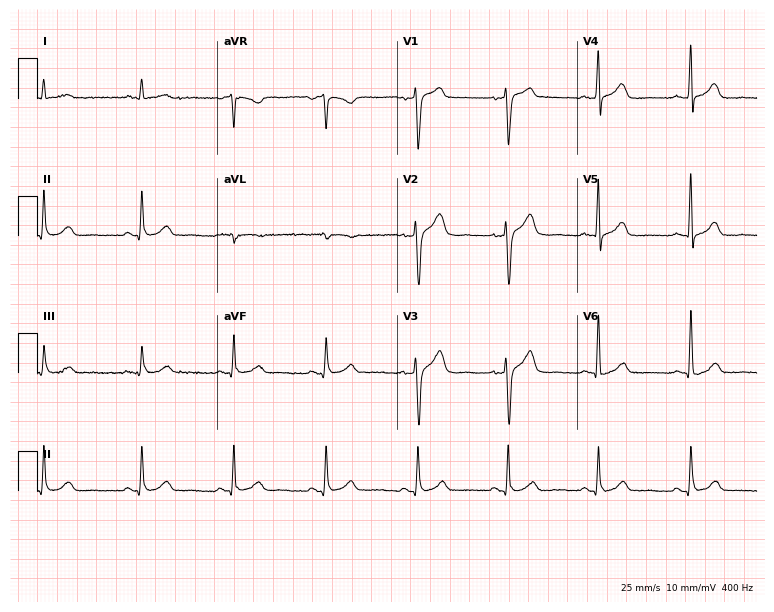
Electrocardiogram (7.3-second recording at 400 Hz), a man, 33 years old. Of the six screened findings (first-degree AV block, right bundle branch block (RBBB), left bundle branch block (LBBB), sinus bradycardia, atrial fibrillation (AF), sinus tachycardia), none is recorded.